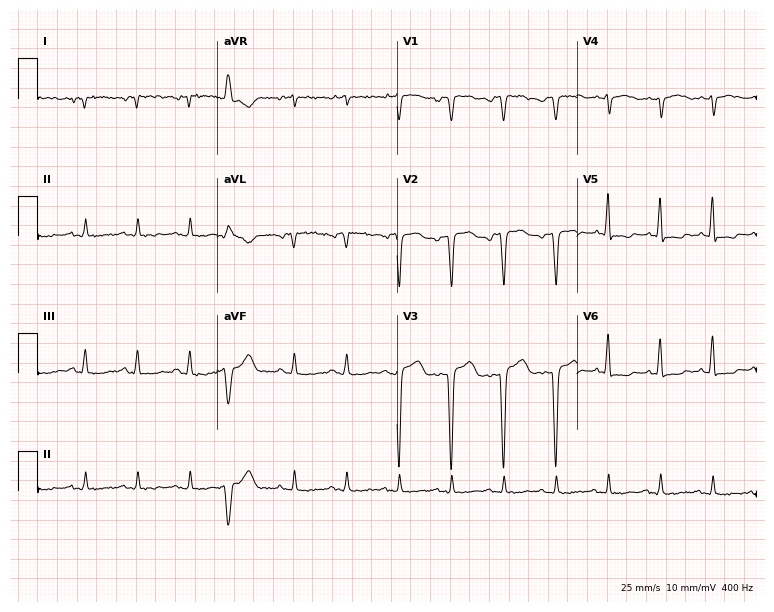
ECG — a male, 67 years old. Screened for six findings — first-degree AV block, right bundle branch block, left bundle branch block, sinus bradycardia, atrial fibrillation, sinus tachycardia — none is recorded. Other findings, if any, are not listed.